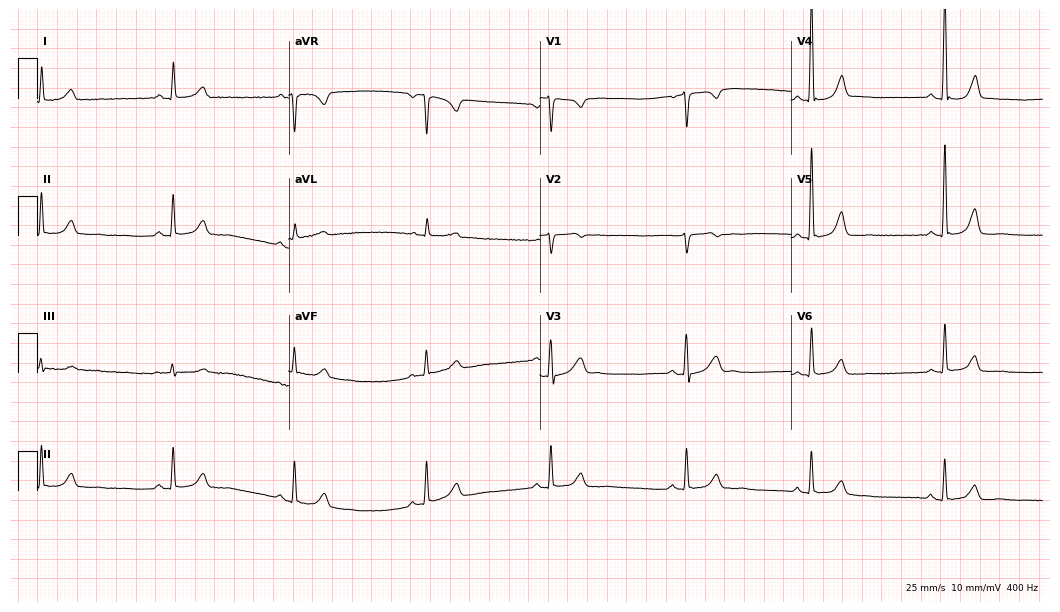
Resting 12-lead electrocardiogram. Patient: a 66-year-old female. The tracing shows sinus bradycardia (a sinus rate of 50 beats per minute or less).